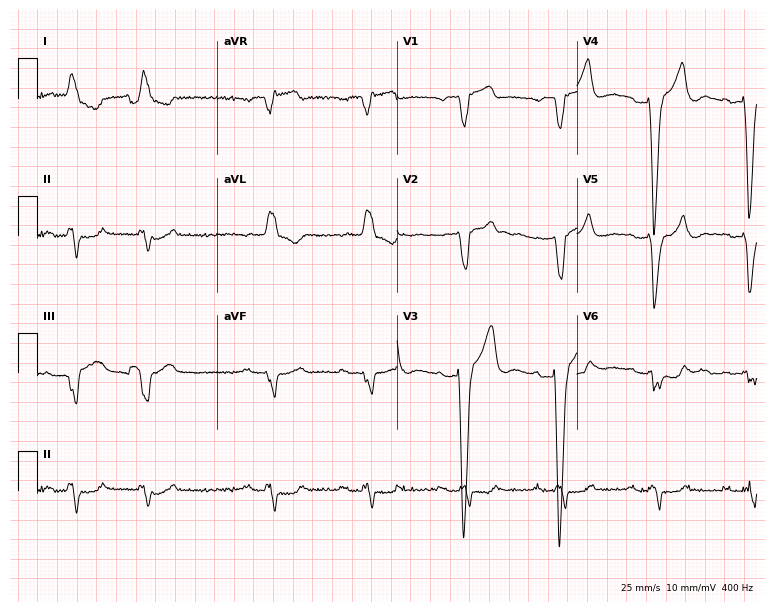
Standard 12-lead ECG recorded from a male patient, 85 years old. The tracing shows first-degree AV block, left bundle branch block.